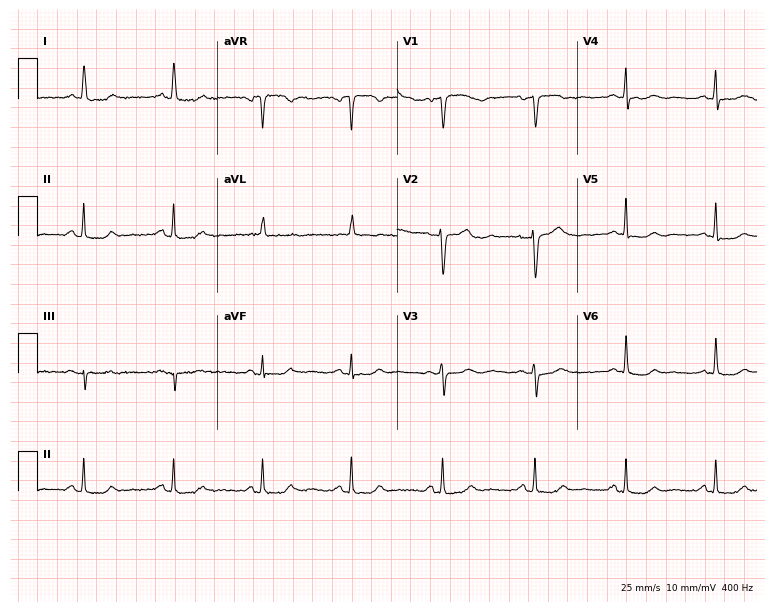
Electrocardiogram, a female, 63 years old. Of the six screened findings (first-degree AV block, right bundle branch block, left bundle branch block, sinus bradycardia, atrial fibrillation, sinus tachycardia), none is recorded.